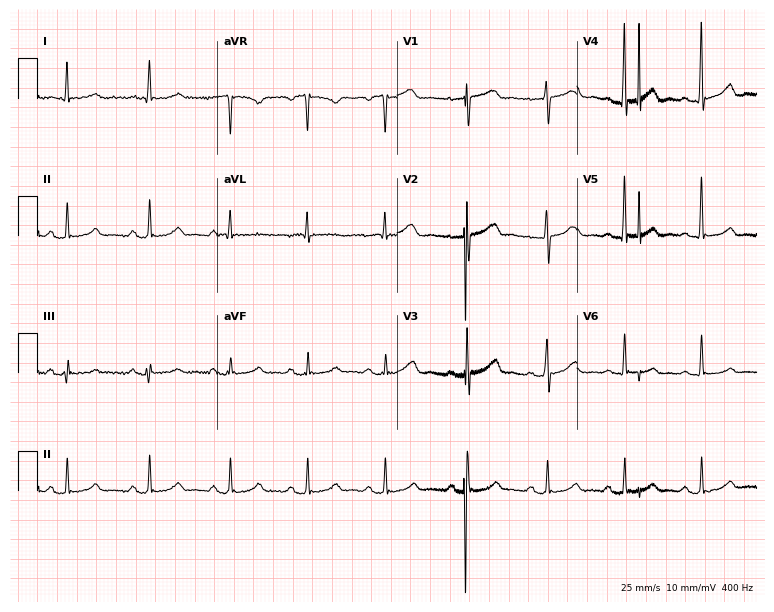
12-lead ECG from a female, 78 years old (7.3-second recording at 400 Hz). Recorded interpretation: within normal limits.